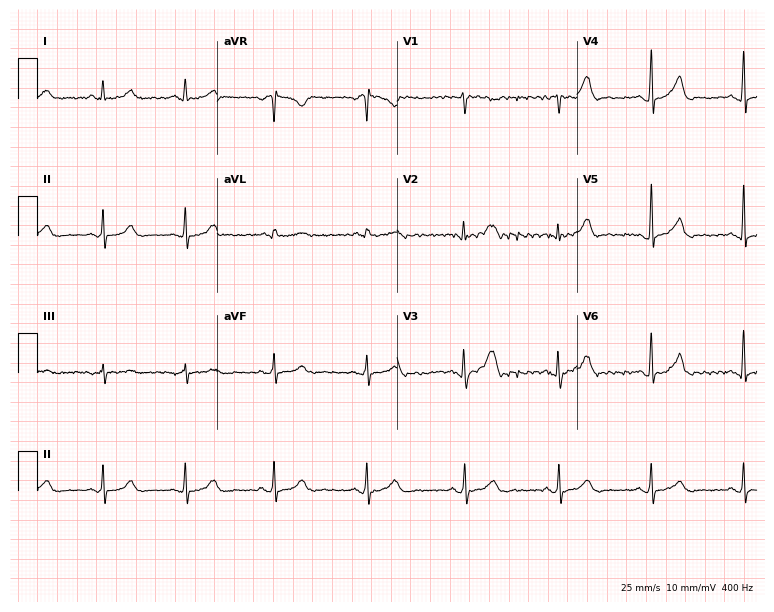
Resting 12-lead electrocardiogram. Patient: a woman, 35 years old. Read as a normal ECG.